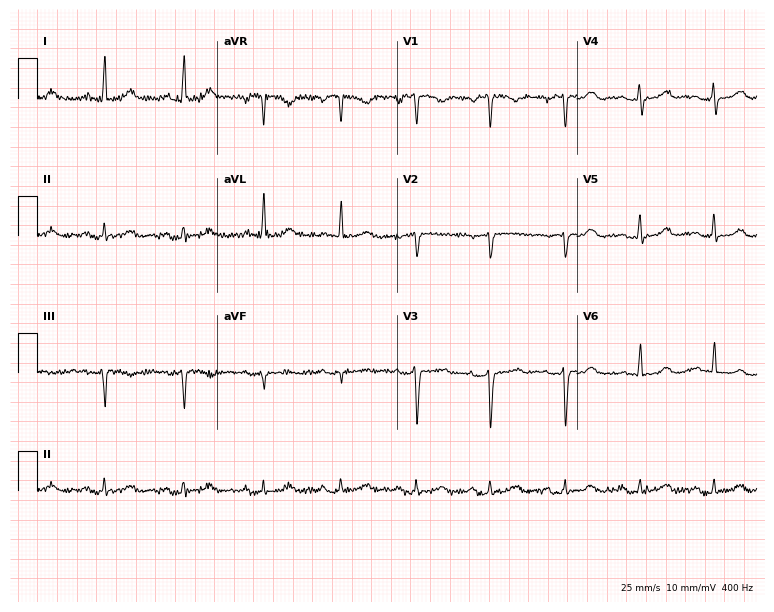
12-lead ECG (7.3-second recording at 400 Hz) from a female patient, 55 years old. Screened for six findings — first-degree AV block, right bundle branch block (RBBB), left bundle branch block (LBBB), sinus bradycardia, atrial fibrillation (AF), sinus tachycardia — none is recorded. Findings outside these six are not listed.